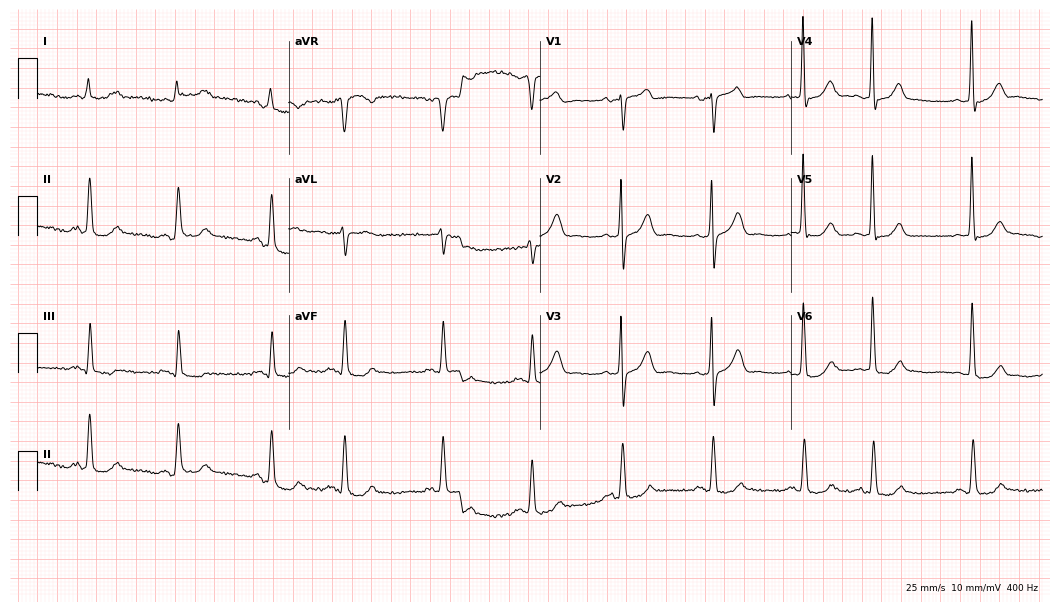
12-lead ECG from an 84-year-old man. Screened for six findings — first-degree AV block, right bundle branch block, left bundle branch block, sinus bradycardia, atrial fibrillation, sinus tachycardia — none is recorded.